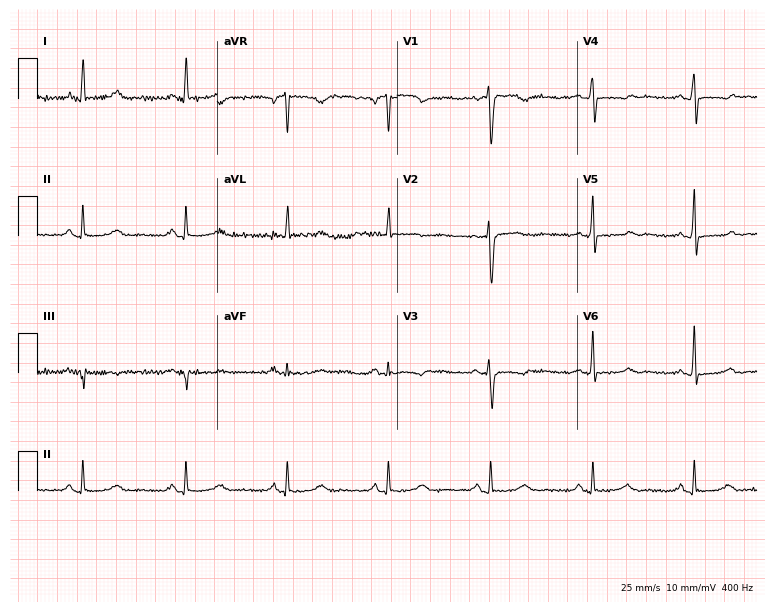
ECG (7.3-second recording at 400 Hz) — a female patient, 58 years old. Labelled as a normal ECG.